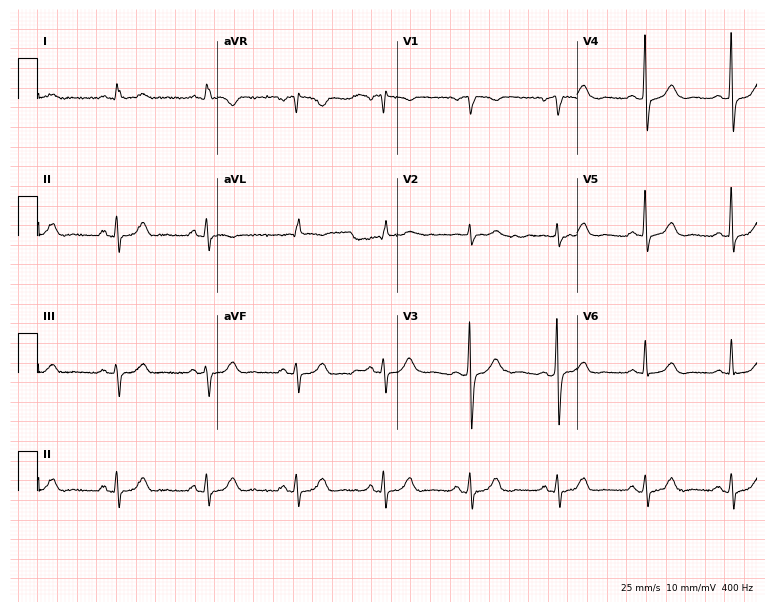
ECG (7.3-second recording at 400 Hz) — a 64-year-old male. Screened for six findings — first-degree AV block, right bundle branch block (RBBB), left bundle branch block (LBBB), sinus bradycardia, atrial fibrillation (AF), sinus tachycardia — none is recorded. Only these six findings were labelled.